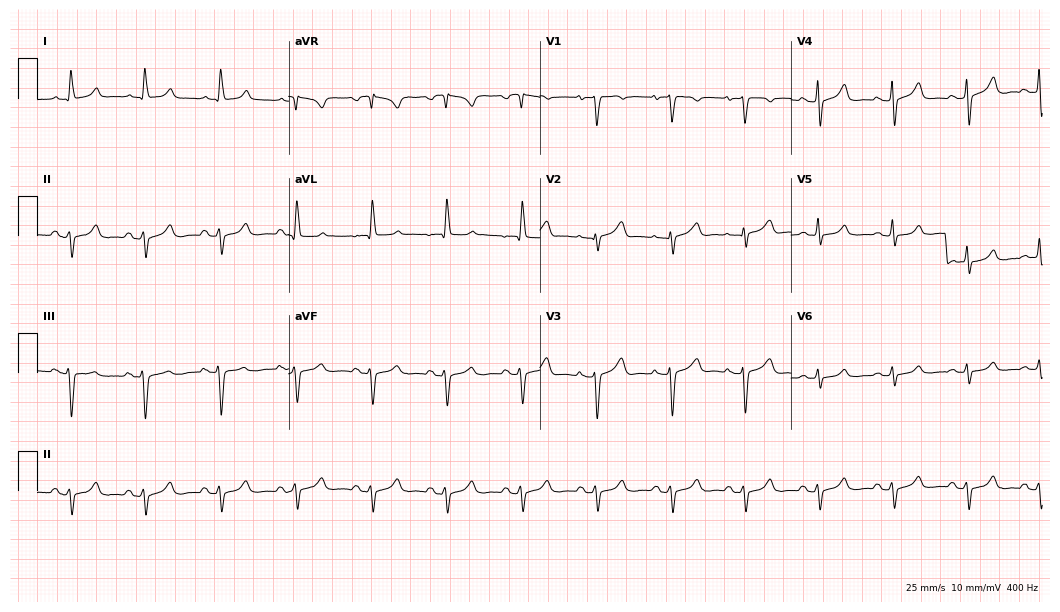
12-lead ECG from a 67-year-old female patient (10.2-second recording at 400 Hz). No first-degree AV block, right bundle branch block (RBBB), left bundle branch block (LBBB), sinus bradycardia, atrial fibrillation (AF) or sinus tachycardia recorded for this tracing. Only these six findings were labelled.